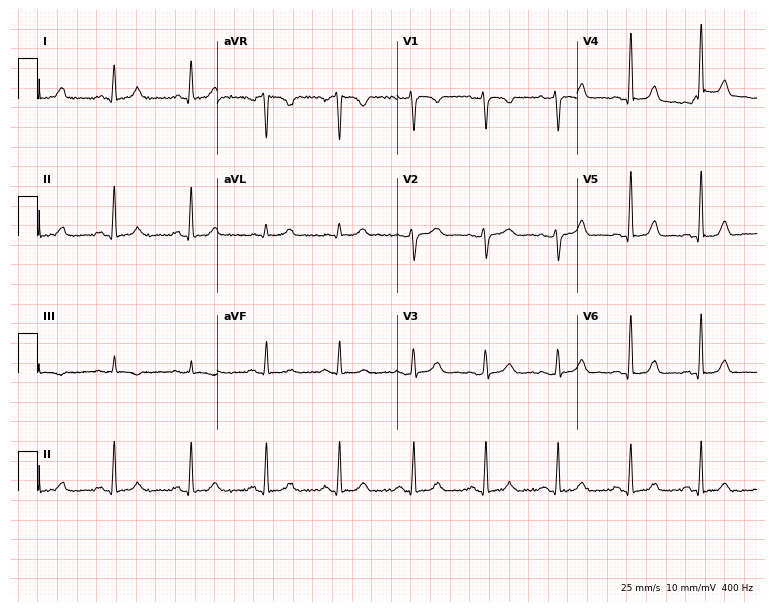
Electrocardiogram (7.3-second recording at 400 Hz), a 36-year-old female patient. Overall reading on record: normal ECG.